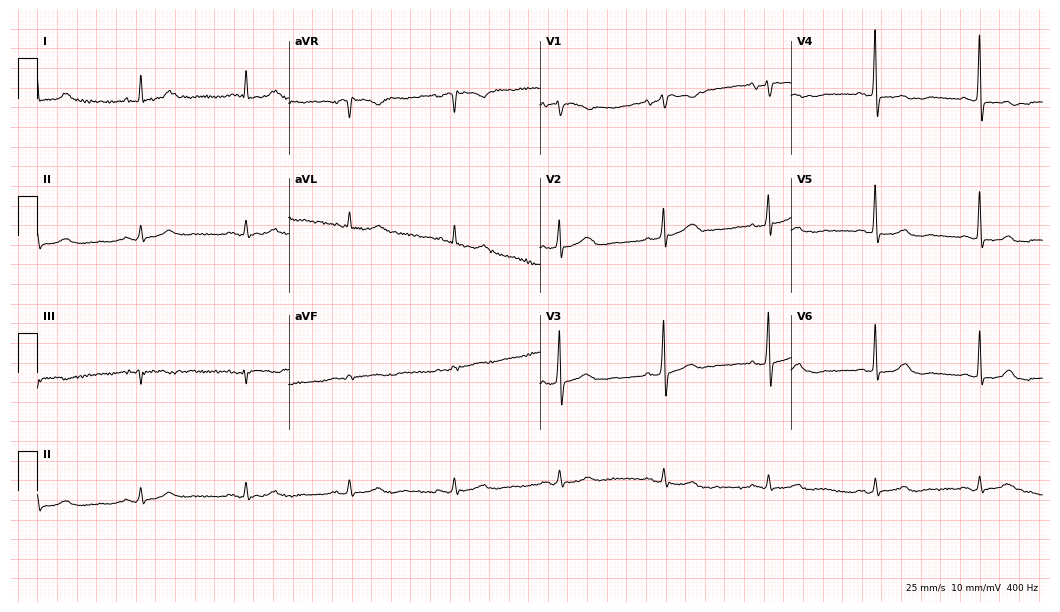
ECG (10.2-second recording at 400 Hz) — an 84-year-old male. Labelled as a normal ECG.